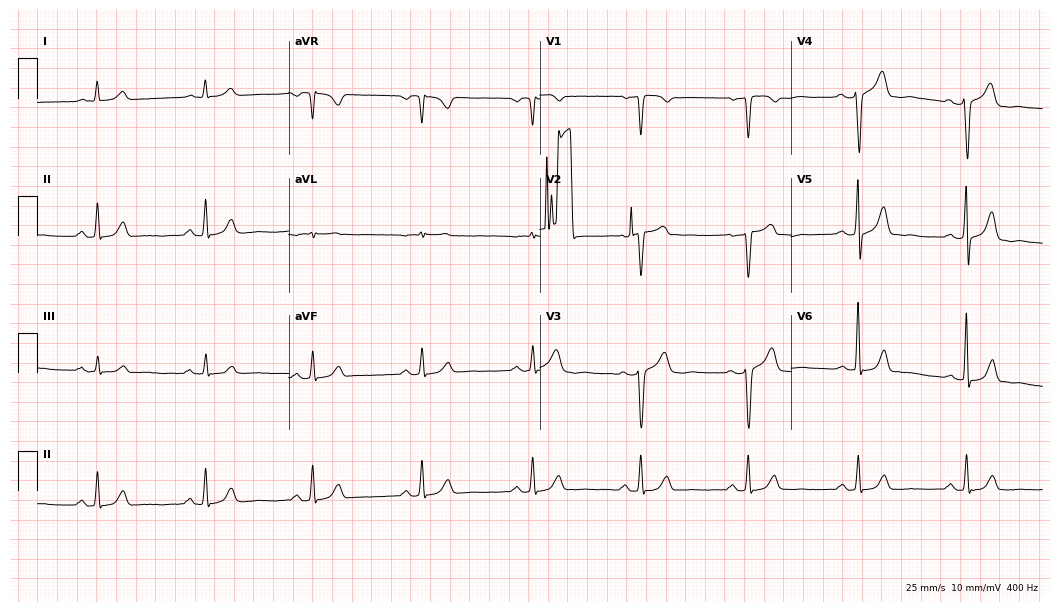
Standard 12-lead ECG recorded from a man, 74 years old (10.2-second recording at 400 Hz). Read as a normal ECG.